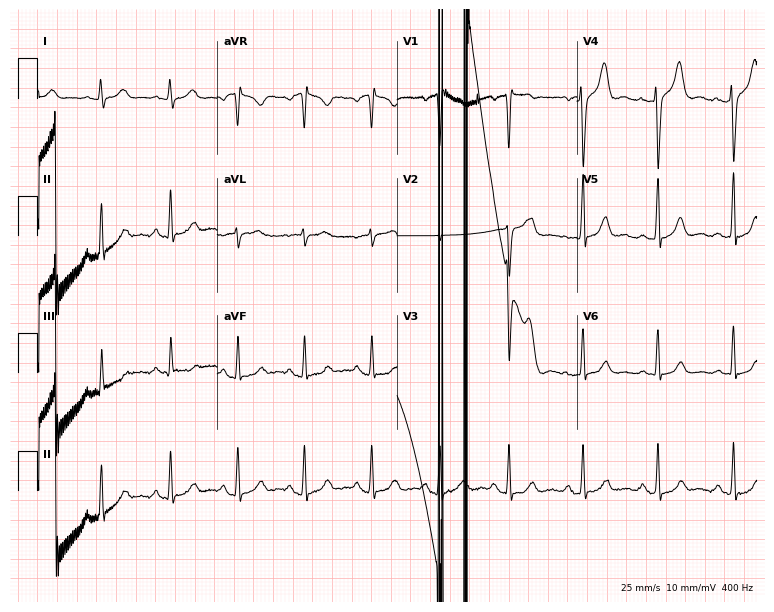
12-lead ECG (7.3-second recording at 400 Hz) from a 24-year-old male. Screened for six findings — first-degree AV block, right bundle branch block, left bundle branch block, sinus bradycardia, atrial fibrillation, sinus tachycardia — none is recorded.